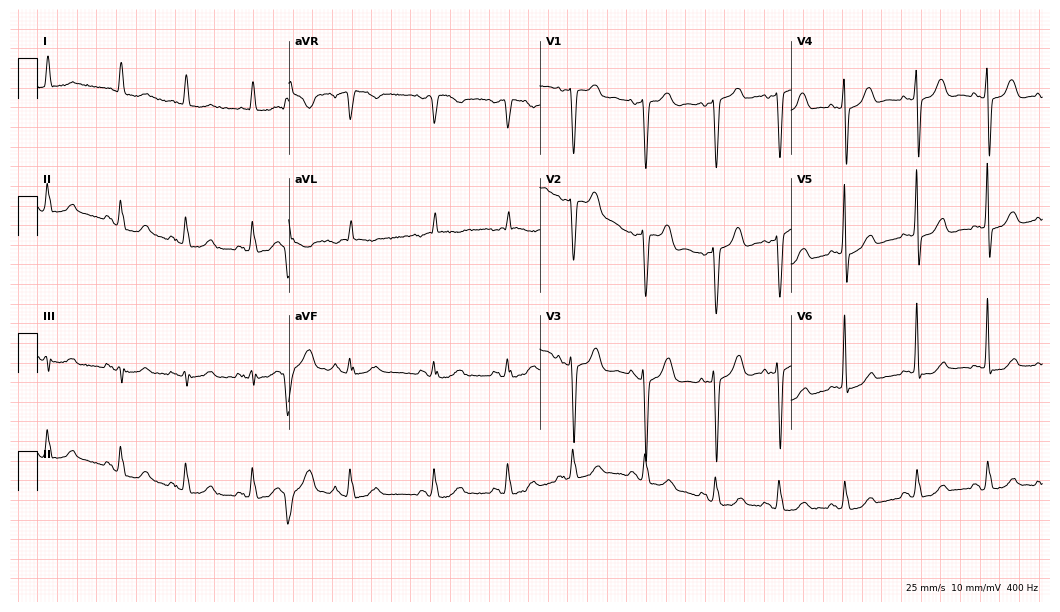
12-lead ECG from an 80-year-old female patient. Labelled as a normal ECG.